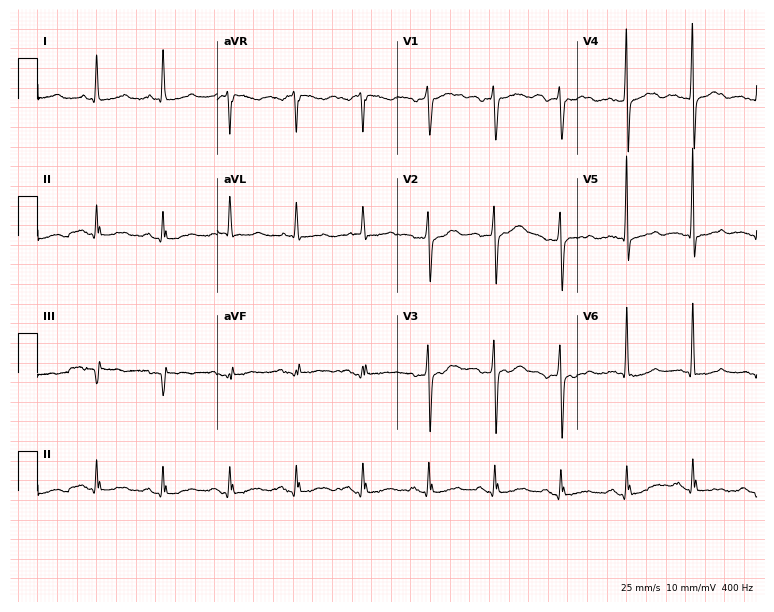
Resting 12-lead electrocardiogram. Patient: a 68-year-old woman. None of these six findings is recorded: first-degree AV block, right bundle branch block, left bundle branch block, sinus bradycardia, atrial fibrillation, sinus tachycardia.